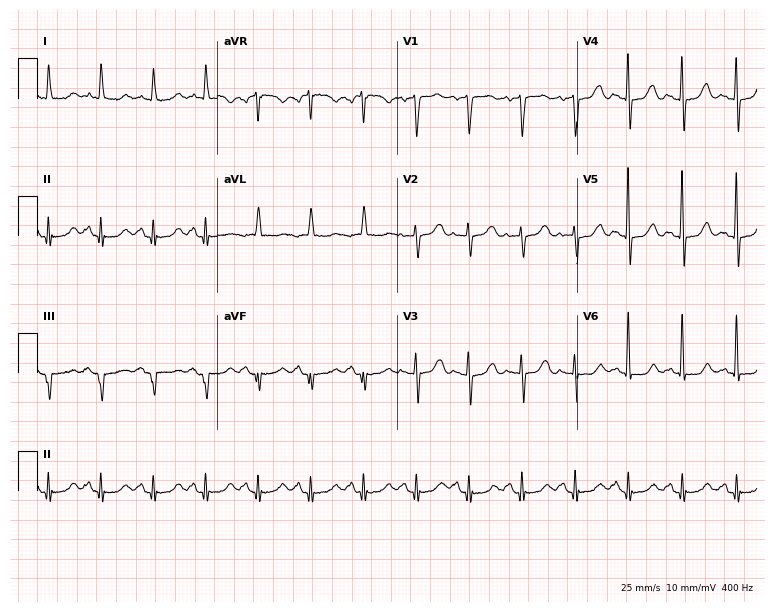
12-lead ECG from a female, 72 years old (7.3-second recording at 400 Hz). Shows sinus tachycardia (a sinus rate of 100 beats per minute or more).